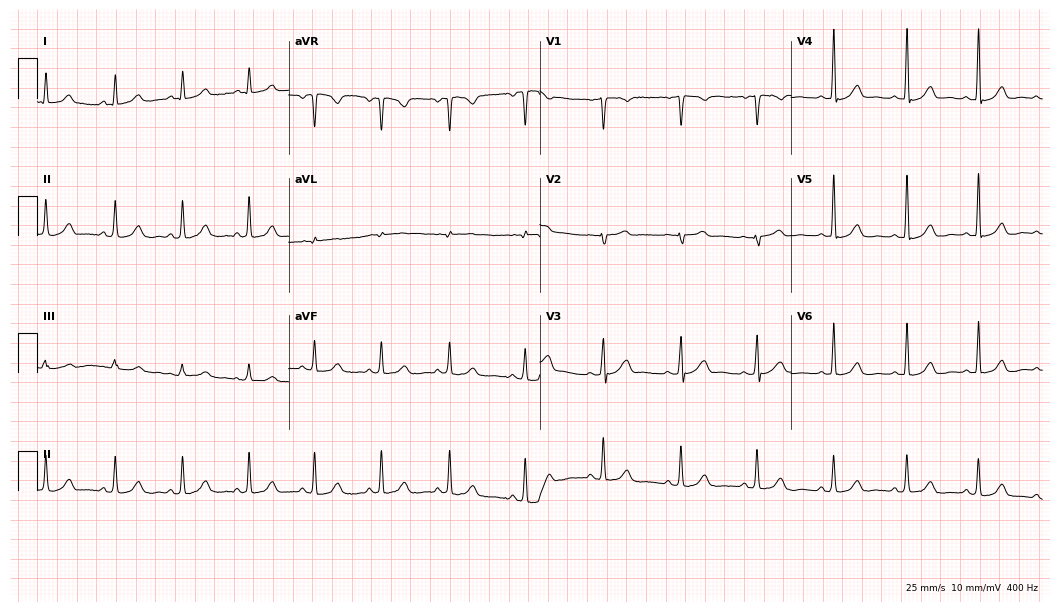
12-lead ECG (10.2-second recording at 400 Hz) from a 41-year-old female patient. Labelled as a normal ECG.